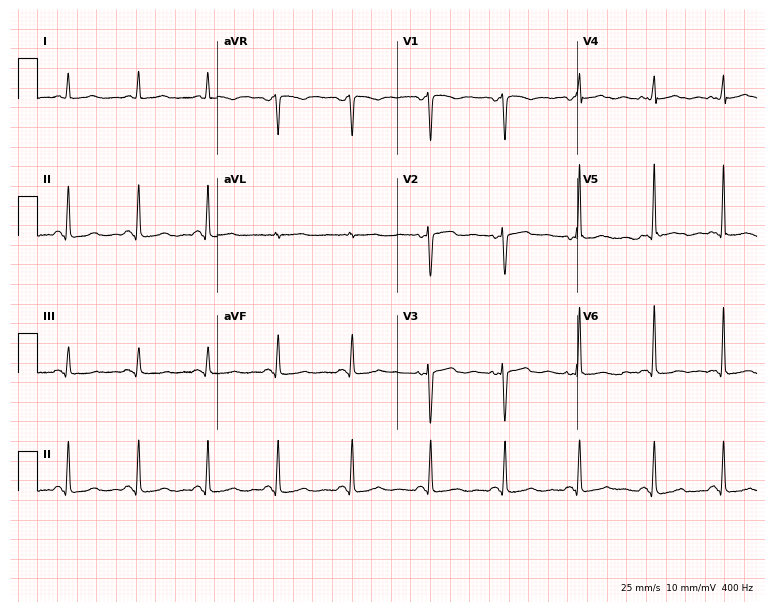
ECG (7.3-second recording at 400 Hz) — a female patient, 40 years old. Screened for six findings — first-degree AV block, right bundle branch block, left bundle branch block, sinus bradycardia, atrial fibrillation, sinus tachycardia — none is recorded. Other findings, if any, are not listed.